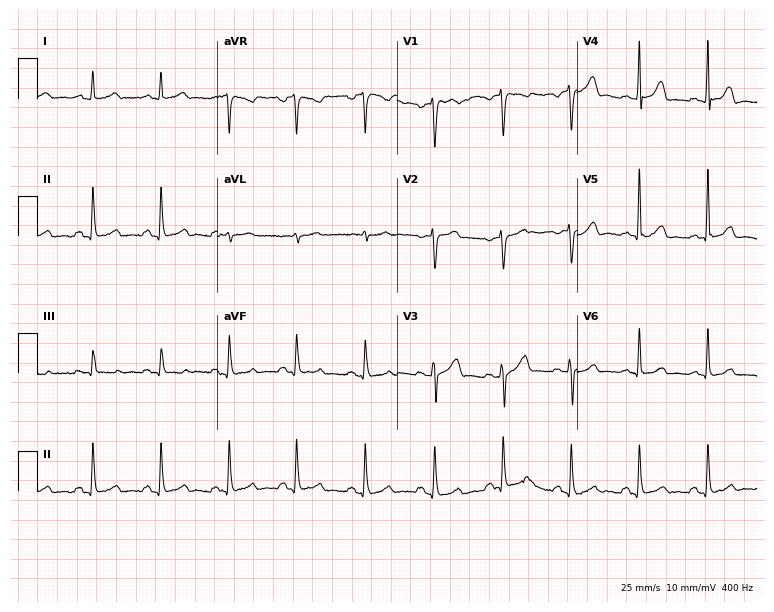
Resting 12-lead electrocardiogram. Patient: a male, 51 years old. Read as a normal ECG.